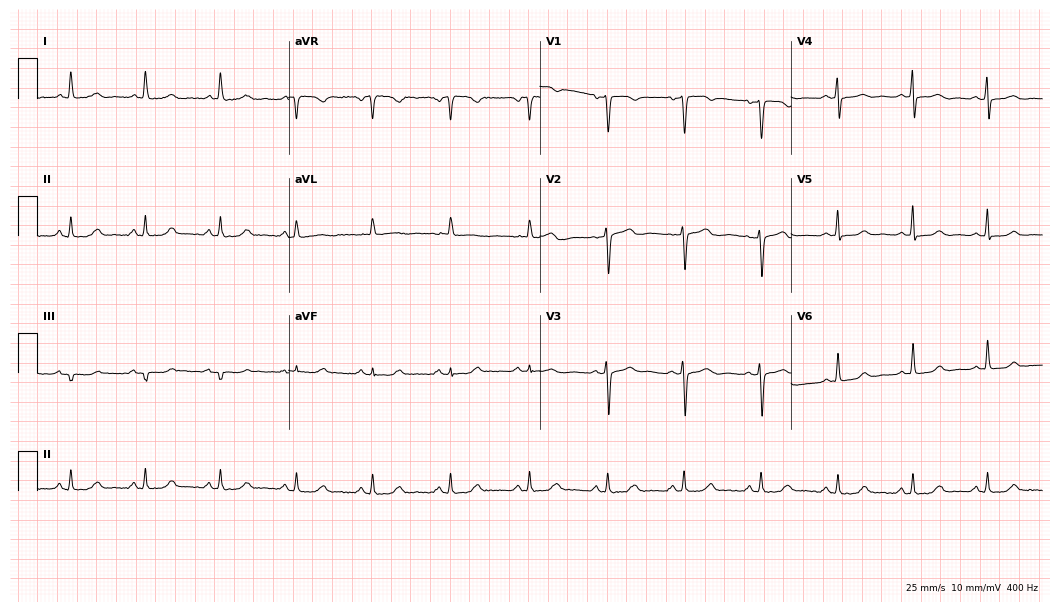
ECG — a 46-year-old female patient. Labelled as a normal ECG.